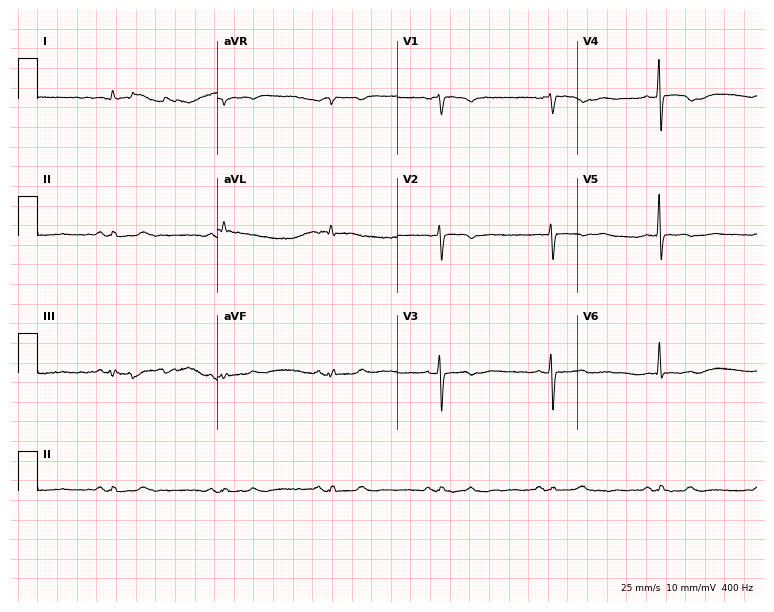
12-lead ECG from an 84-year-old male. Screened for six findings — first-degree AV block, right bundle branch block (RBBB), left bundle branch block (LBBB), sinus bradycardia, atrial fibrillation (AF), sinus tachycardia — none is recorded.